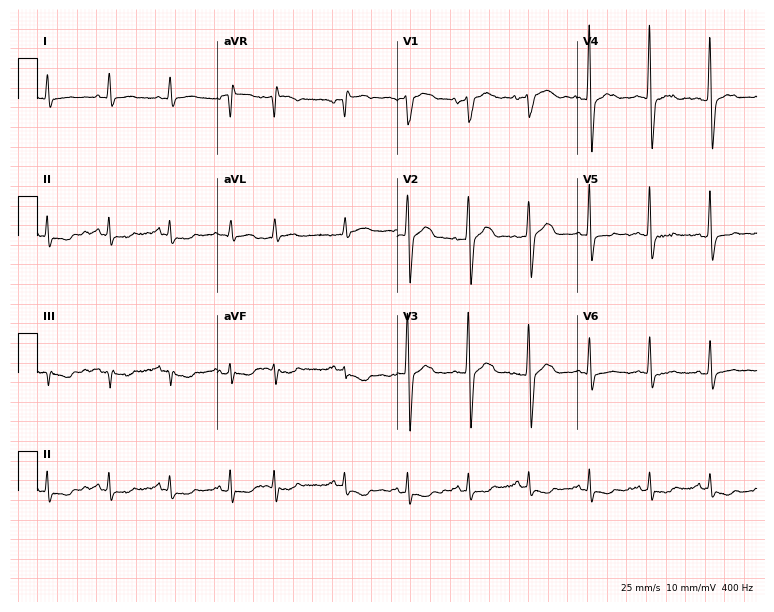
12-lead ECG from a 69-year-old man. No first-degree AV block, right bundle branch block, left bundle branch block, sinus bradycardia, atrial fibrillation or sinus tachycardia recorded for this tracing.